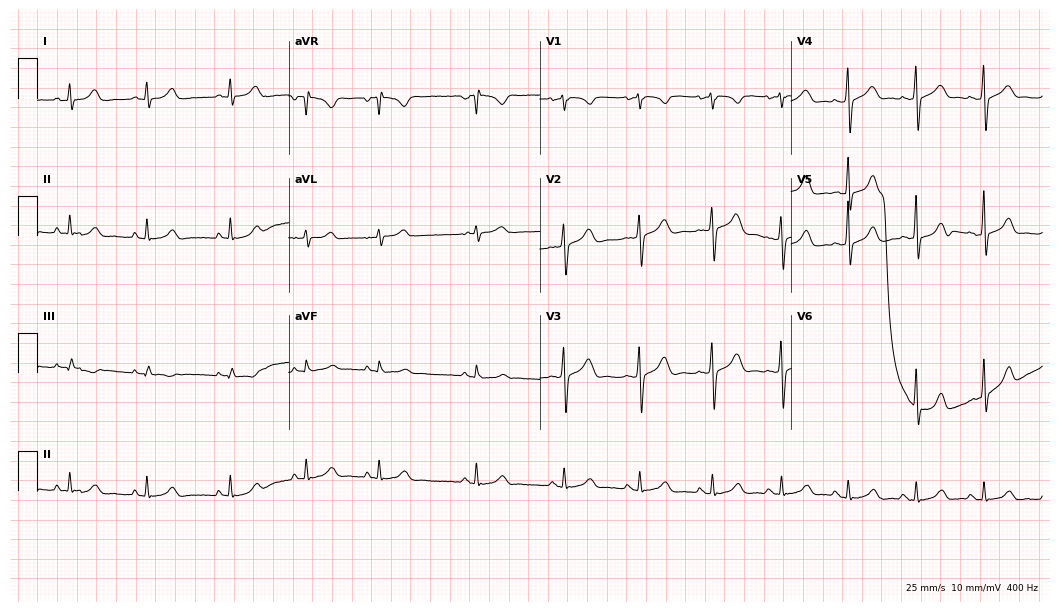
Standard 12-lead ECG recorded from a 19-year-old female patient (10.2-second recording at 400 Hz). Read as a normal ECG.